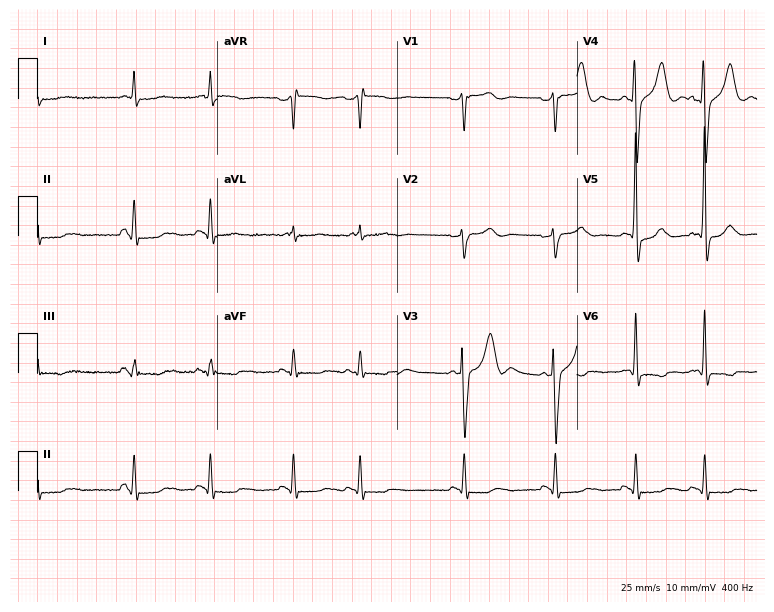
Electrocardiogram (7.3-second recording at 400 Hz), a male patient, 80 years old. Of the six screened findings (first-degree AV block, right bundle branch block (RBBB), left bundle branch block (LBBB), sinus bradycardia, atrial fibrillation (AF), sinus tachycardia), none is recorded.